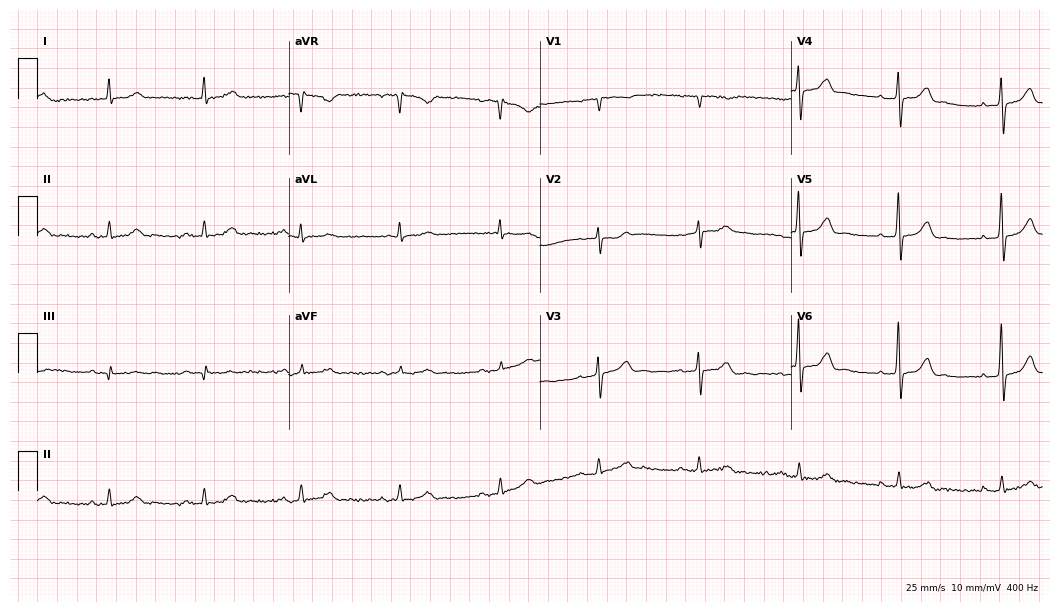
Standard 12-lead ECG recorded from a male, 80 years old (10.2-second recording at 400 Hz). Read as a normal ECG.